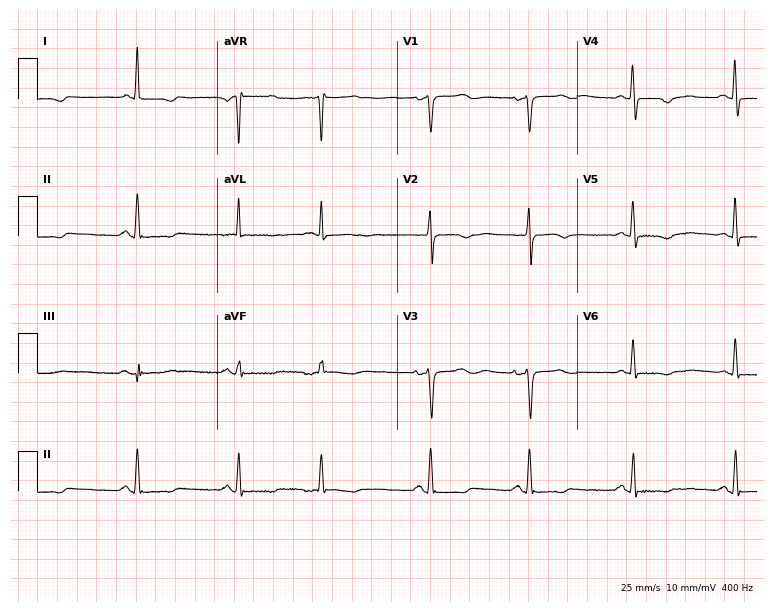
12-lead ECG from a 55-year-old female (7.3-second recording at 400 Hz). No first-degree AV block, right bundle branch block (RBBB), left bundle branch block (LBBB), sinus bradycardia, atrial fibrillation (AF) or sinus tachycardia recorded for this tracing.